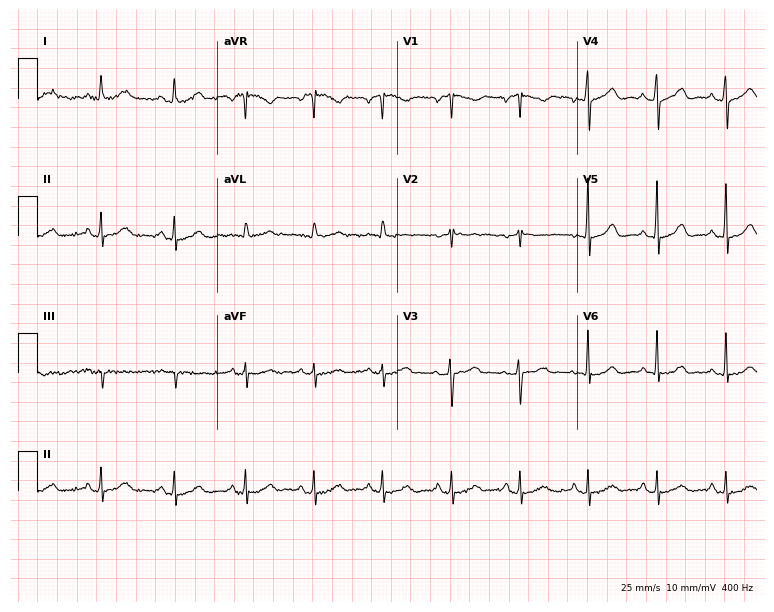
12-lead ECG from a woman, 51 years old. Recorded interpretation: within normal limits.